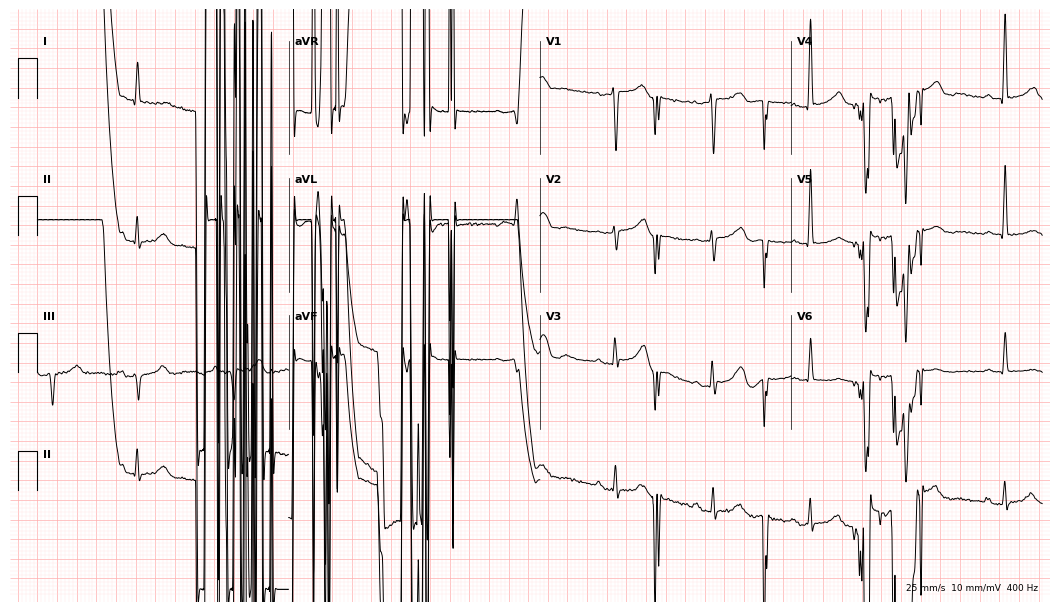
Electrocardiogram, a woman, 85 years old. Of the six screened findings (first-degree AV block, right bundle branch block (RBBB), left bundle branch block (LBBB), sinus bradycardia, atrial fibrillation (AF), sinus tachycardia), none is recorded.